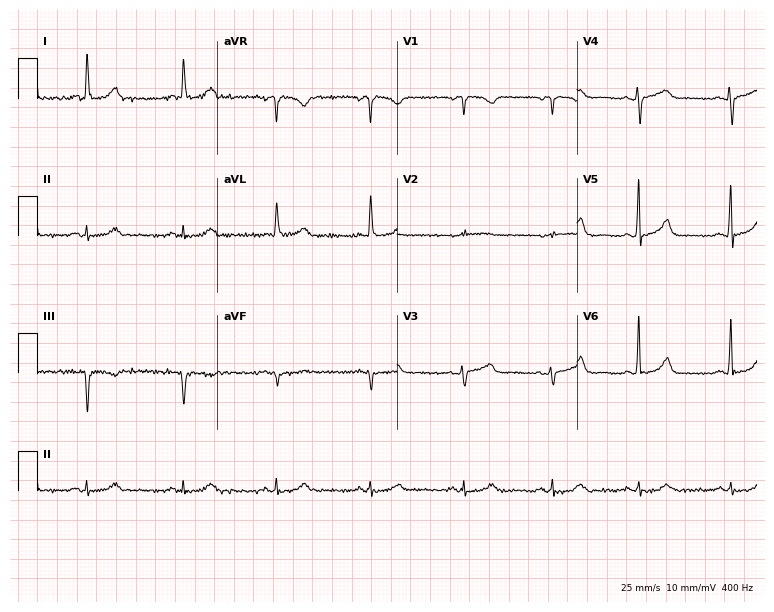
Electrocardiogram, a 66-year-old woman. Of the six screened findings (first-degree AV block, right bundle branch block, left bundle branch block, sinus bradycardia, atrial fibrillation, sinus tachycardia), none is recorded. Findings outside these six are not listed.